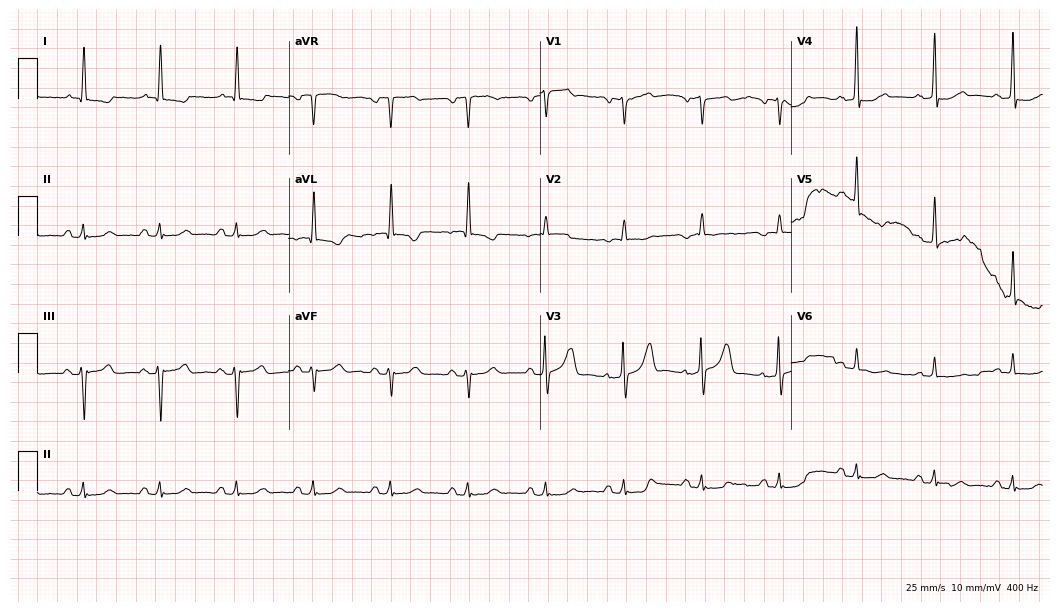
Electrocardiogram, a 68-year-old male. Of the six screened findings (first-degree AV block, right bundle branch block, left bundle branch block, sinus bradycardia, atrial fibrillation, sinus tachycardia), none is recorded. Other findings, if any, are not listed.